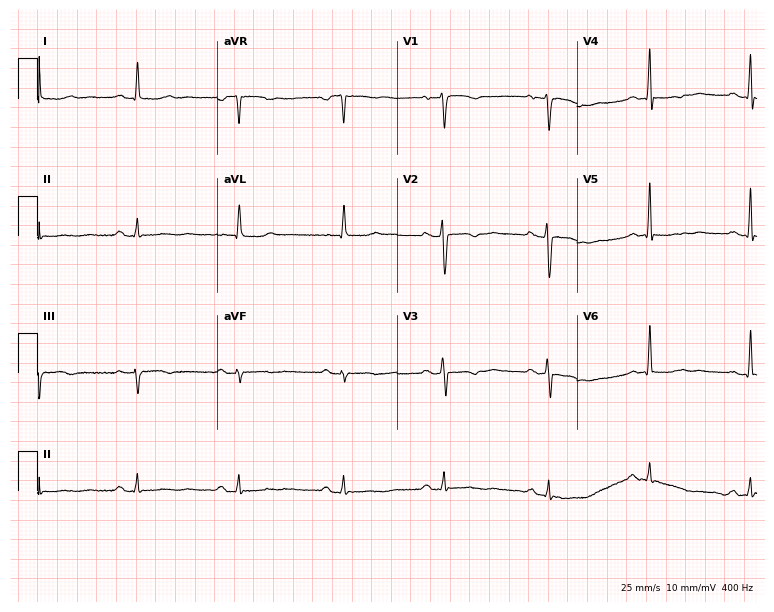
Resting 12-lead electrocardiogram. Patient: a female, 50 years old. None of these six findings is recorded: first-degree AV block, right bundle branch block, left bundle branch block, sinus bradycardia, atrial fibrillation, sinus tachycardia. Only these six findings were labelled.